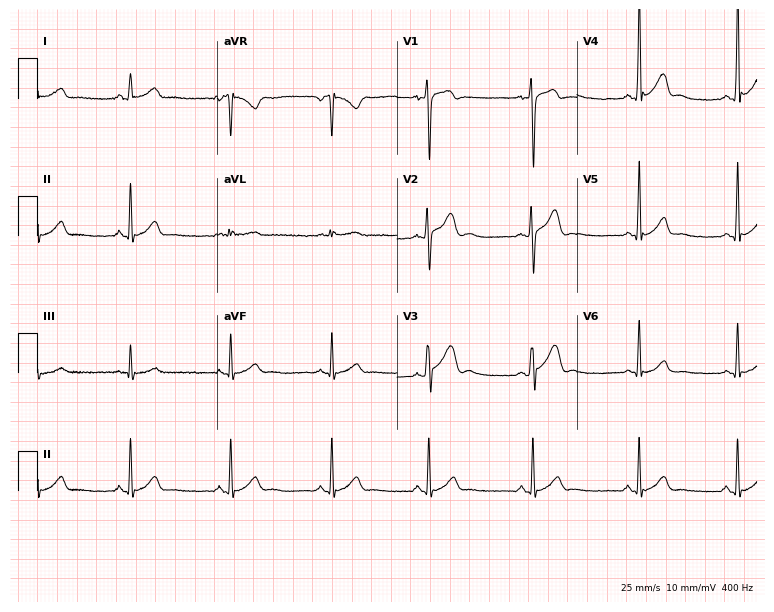
Resting 12-lead electrocardiogram (7.3-second recording at 400 Hz). Patient: a 20-year-old man. Read as a normal ECG.